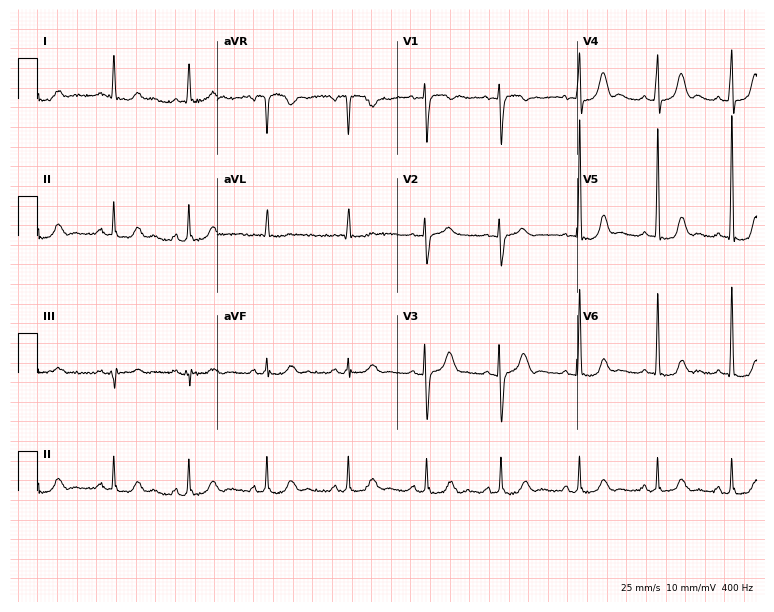
Resting 12-lead electrocardiogram (7.3-second recording at 400 Hz). Patient: a 69-year-old woman. None of these six findings is recorded: first-degree AV block, right bundle branch block (RBBB), left bundle branch block (LBBB), sinus bradycardia, atrial fibrillation (AF), sinus tachycardia.